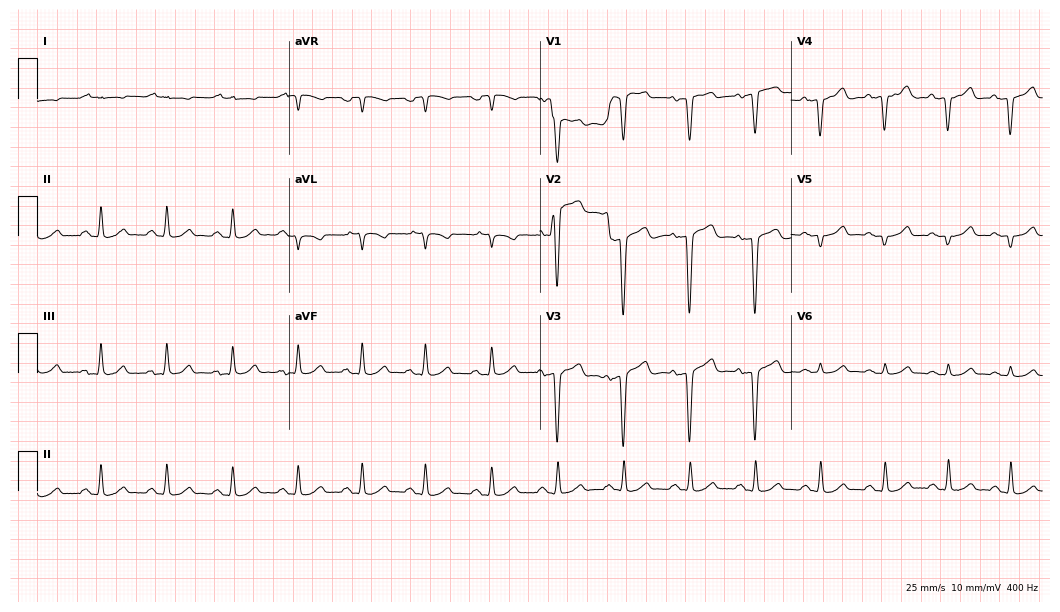
Standard 12-lead ECG recorded from a woman, 70 years old. None of these six findings is recorded: first-degree AV block, right bundle branch block, left bundle branch block, sinus bradycardia, atrial fibrillation, sinus tachycardia.